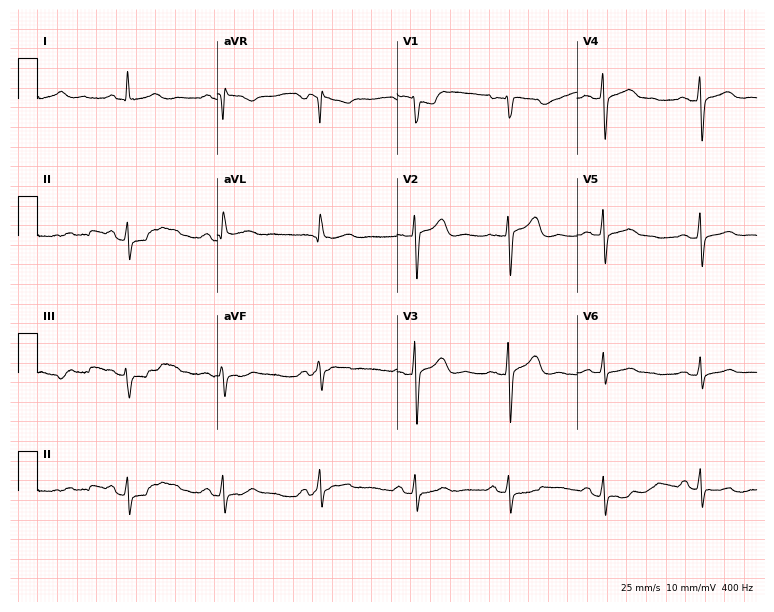
ECG — a 52-year-old female patient. Screened for six findings — first-degree AV block, right bundle branch block (RBBB), left bundle branch block (LBBB), sinus bradycardia, atrial fibrillation (AF), sinus tachycardia — none is recorded. Other findings, if any, are not listed.